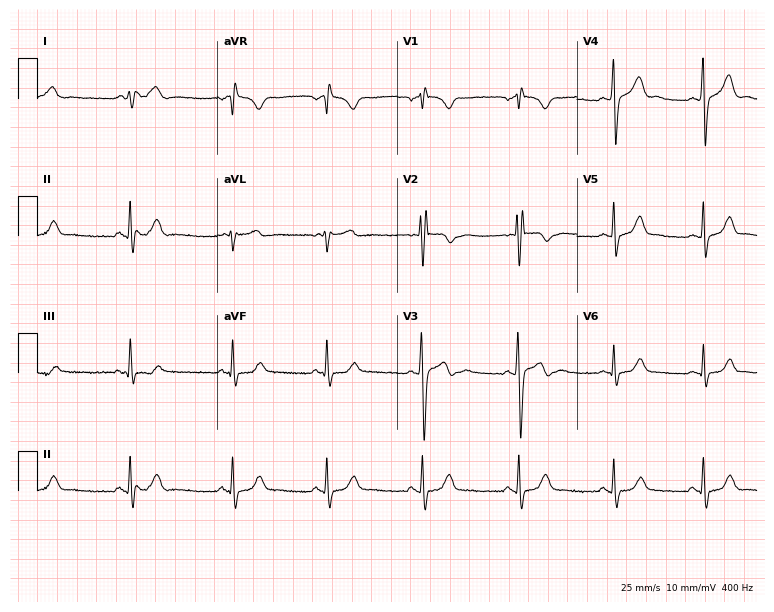
Standard 12-lead ECG recorded from a man, 27 years old. None of these six findings is recorded: first-degree AV block, right bundle branch block, left bundle branch block, sinus bradycardia, atrial fibrillation, sinus tachycardia.